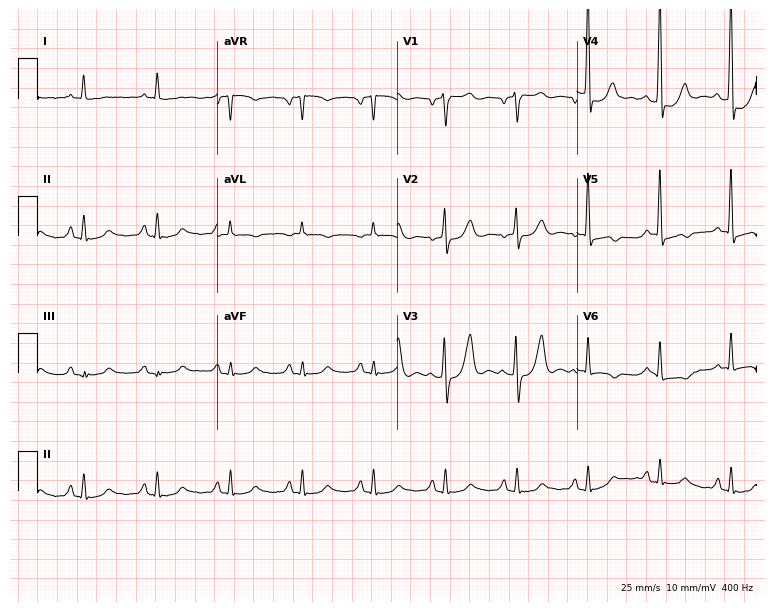
12-lead ECG from a 62-year-old man (7.3-second recording at 400 Hz). No first-degree AV block, right bundle branch block (RBBB), left bundle branch block (LBBB), sinus bradycardia, atrial fibrillation (AF) or sinus tachycardia recorded for this tracing.